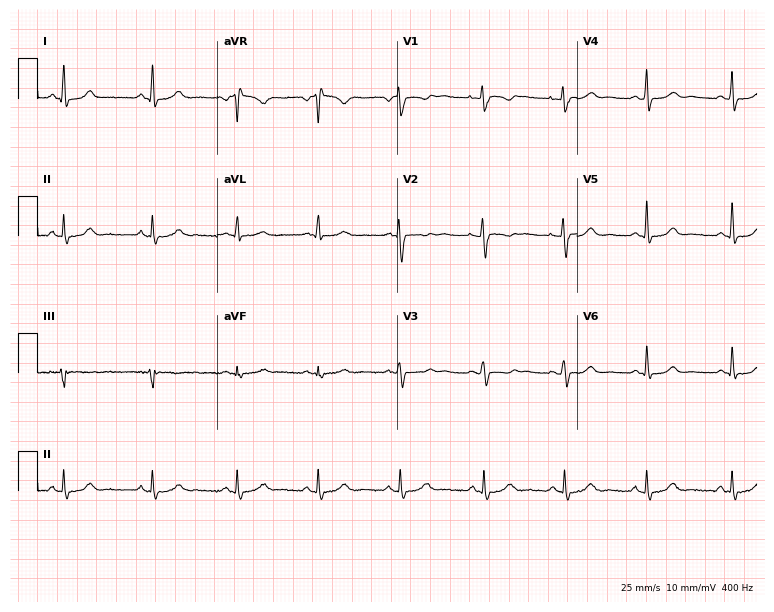
Standard 12-lead ECG recorded from a 28-year-old woman (7.3-second recording at 400 Hz). Read as a normal ECG.